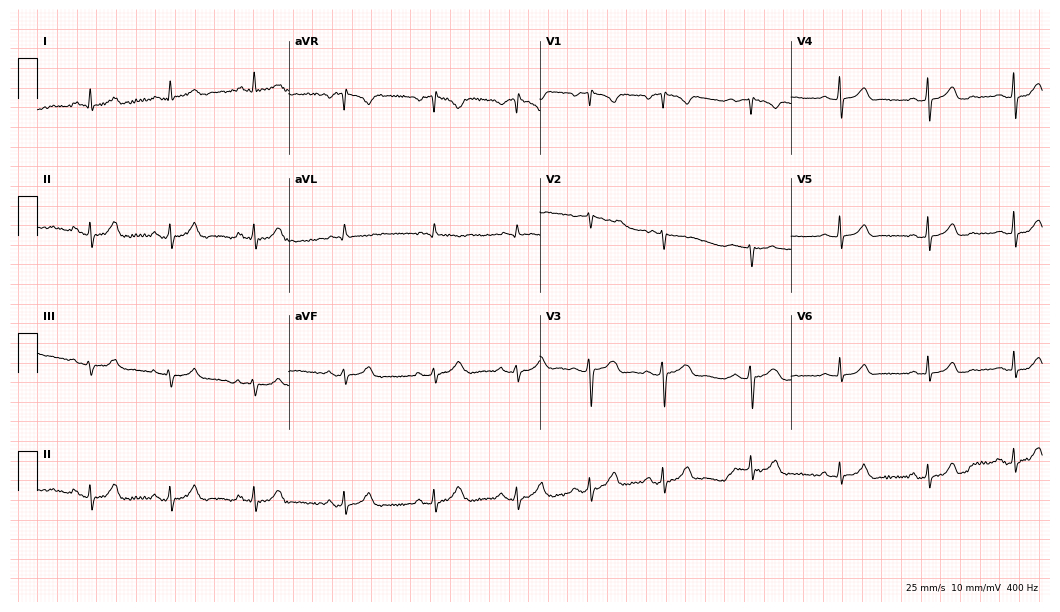
12-lead ECG from a 19-year-old female (10.2-second recording at 400 Hz). No first-degree AV block, right bundle branch block (RBBB), left bundle branch block (LBBB), sinus bradycardia, atrial fibrillation (AF) or sinus tachycardia recorded for this tracing. Findings outside these six are not listed.